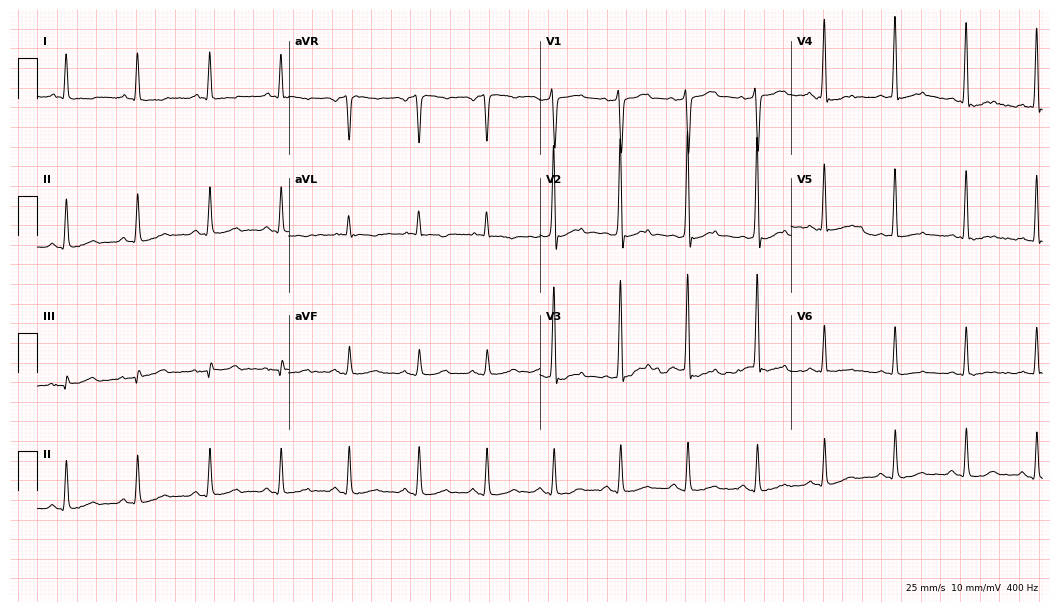
Electrocardiogram (10.2-second recording at 400 Hz), a 58-year-old male. Of the six screened findings (first-degree AV block, right bundle branch block (RBBB), left bundle branch block (LBBB), sinus bradycardia, atrial fibrillation (AF), sinus tachycardia), none is recorded. Other findings, if any, are not listed.